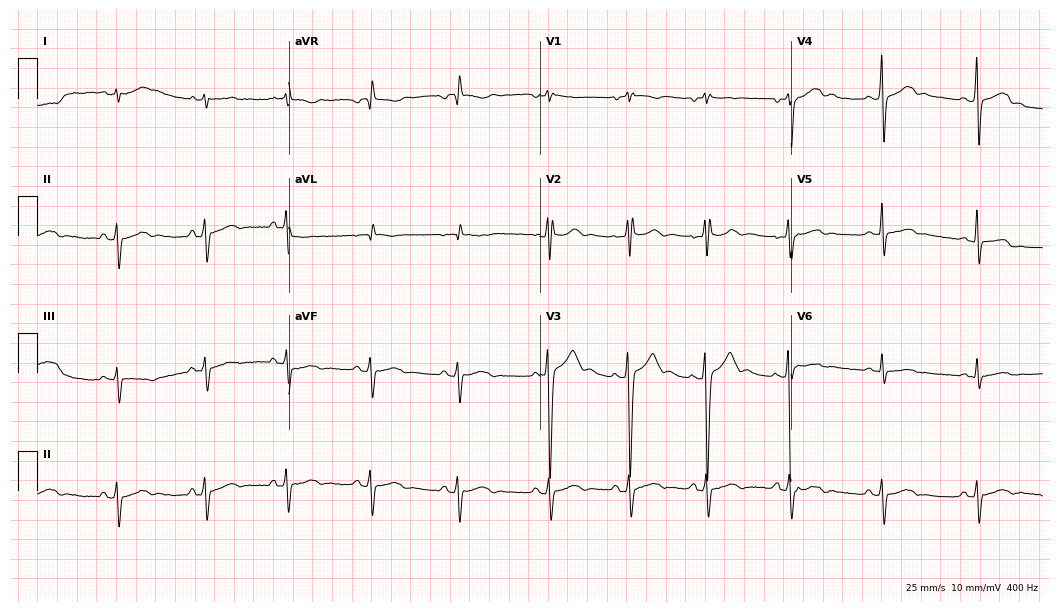
Resting 12-lead electrocardiogram (10.2-second recording at 400 Hz). Patient: a 17-year-old man. None of these six findings is recorded: first-degree AV block, right bundle branch block (RBBB), left bundle branch block (LBBB), sinus bradycardia, atrial fibrillation (AF), sinus tachycardia.